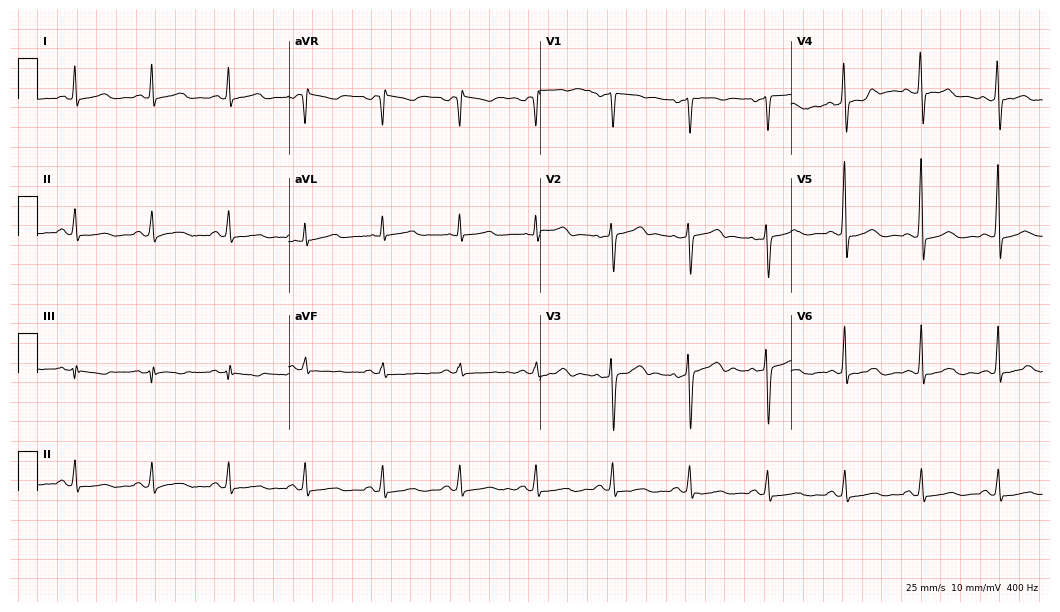
Standard 12-lead ECG recorded from a 52-year-old female patient (10.2-second recording at 400 Hz). Read as a normal ECG.